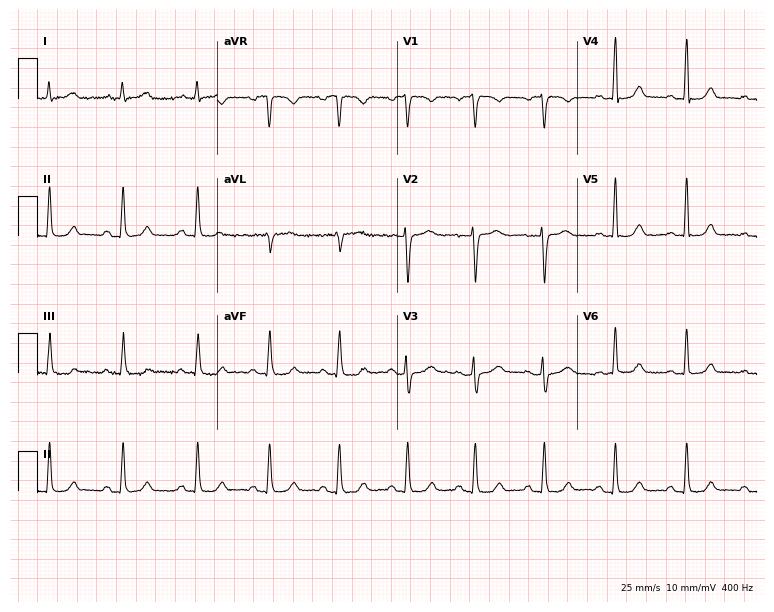
12-lead ECG from a female, 29 years old. No first-degree AV block, right bundle branch block (RBBB), left bundle branch block (LBBB), sinus bradycardia, atrial fibrillation (AF) or sinus tachycardia recorded for this tracing. Only these six findings were labelled.